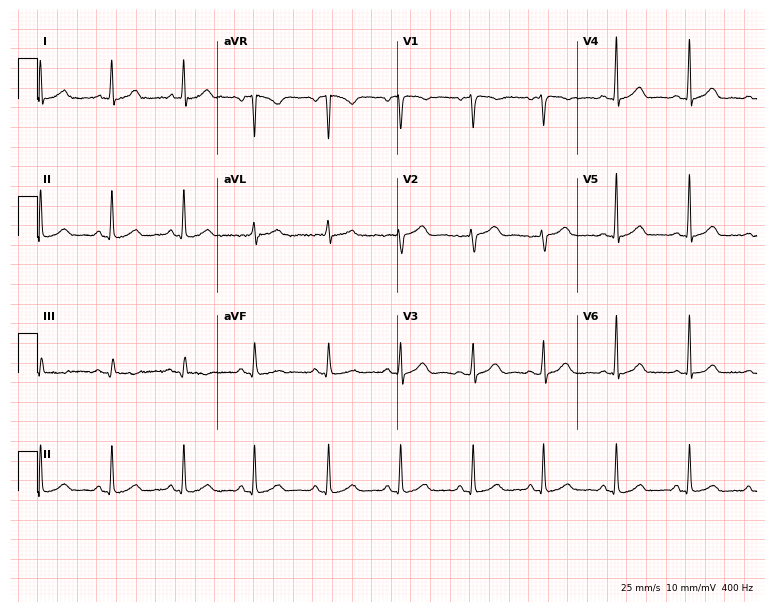
ECG (7.3-second recording at 400 Hz) — a 38-year-old female patient. Screened for six findings — first-degree AV block, right bundle branch block, left bundle branch block, sinus bradycardia, atrial fibrillation, sinus tachycardia — none is recorded.